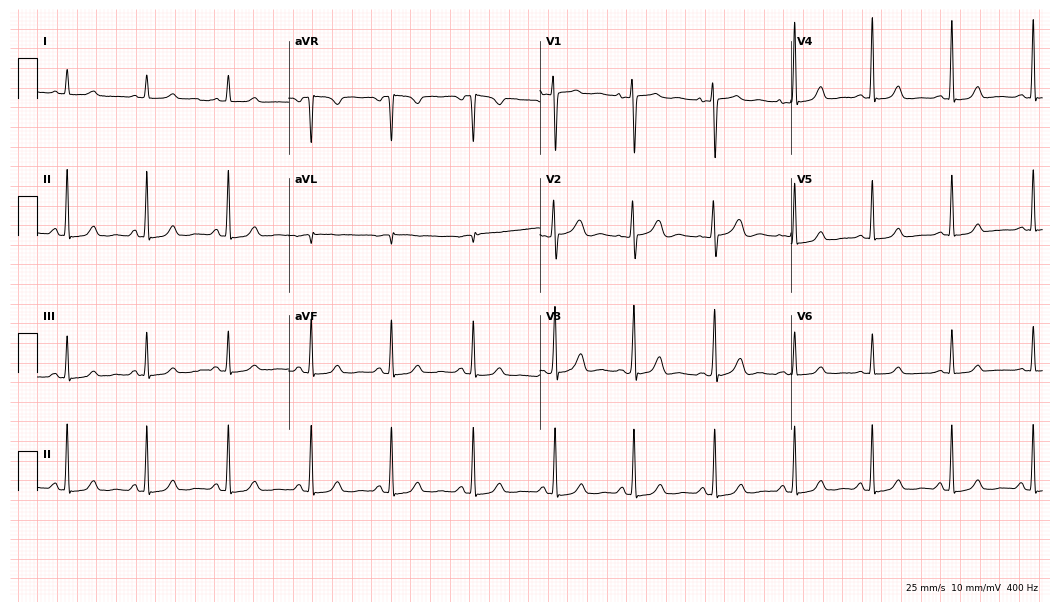
Resting 12-lead electrocardiogram (10.2-second recording at 400 Hz). Patient: a 44-year-old woman. Read as a normal ECG.